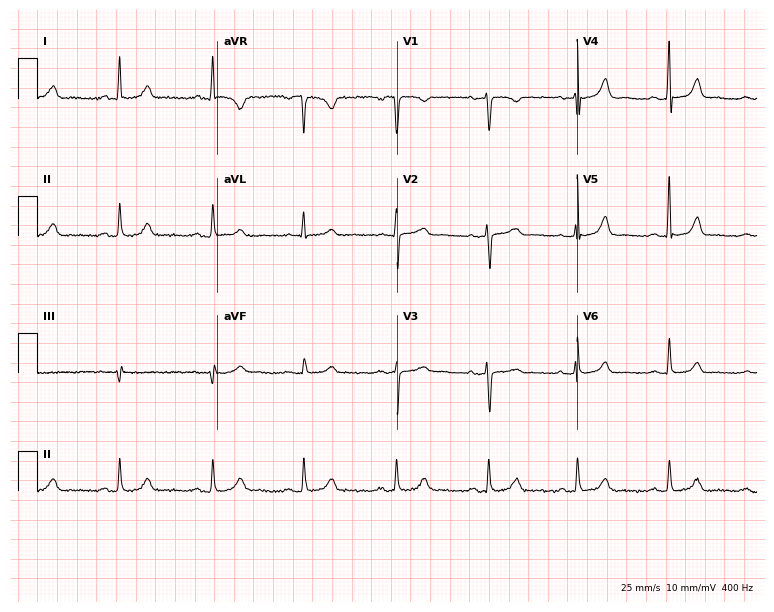
Standard 12-lead ECG recorded from a woman, 53 years old. Read as a normal ECG.